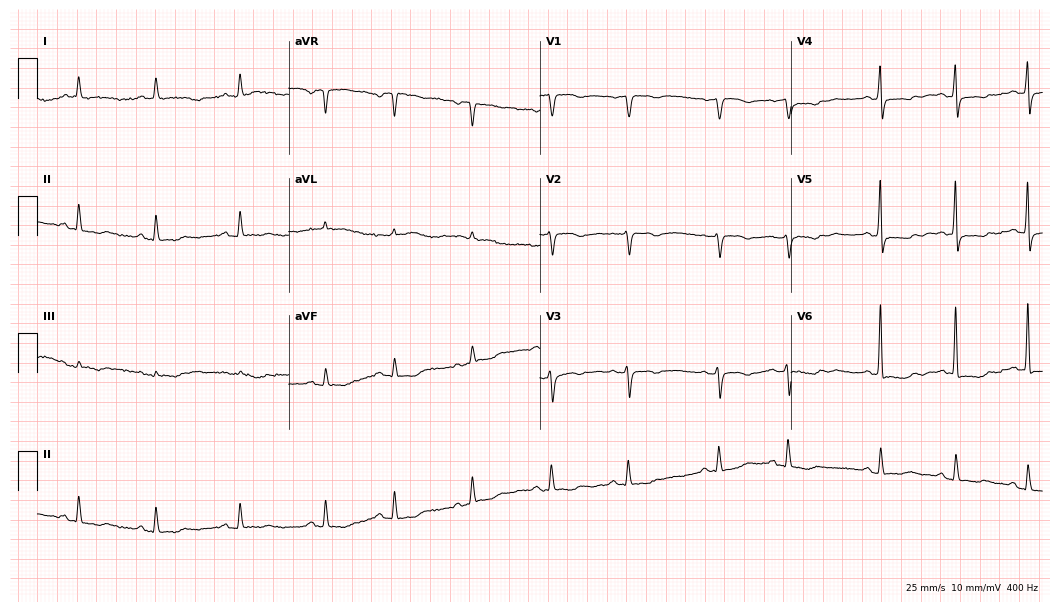
Electrocardiogram (10.2-second recording at 400 Hz), a woman, 84 years old. Of the six screened findings (first-degree AV block, right bundle branch block, left bundle branch block, sinus bradycardia, atrial fibrillation, sinus tachycardia), none is recorded. Findings outside these six are not listed.